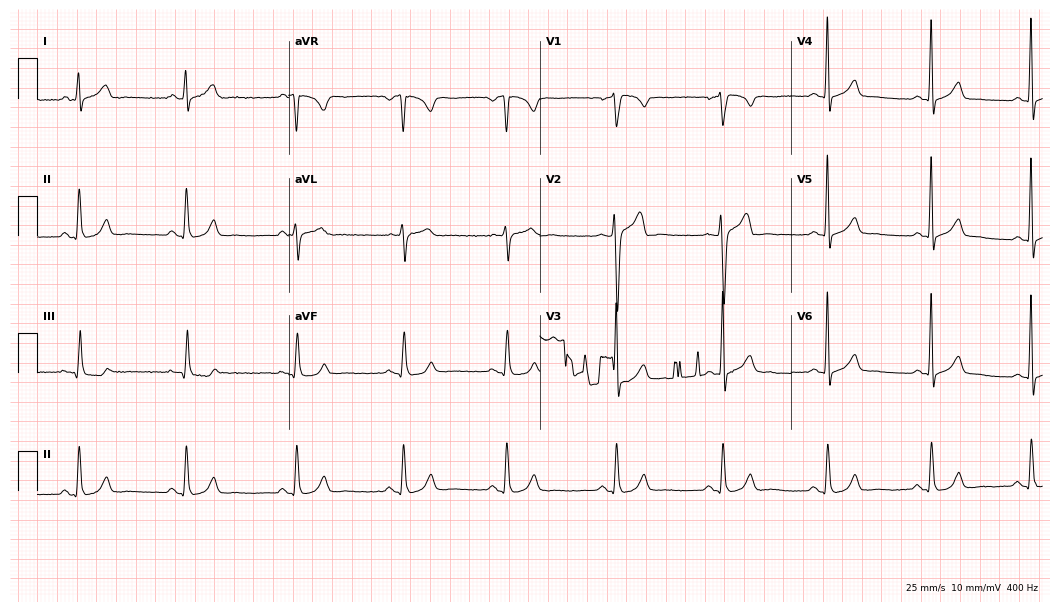
Resting 12-lead electrocardiogram (10.2-second recording at 400 Hz). Patient: a 35-year-old man. None of these six findings is recorded: first-degree AV block, right bundle branch block, left bundle branch block, sinus bradycardia, atrial fibrillation, sinus tachycardia. Findings outside these six are not listed.